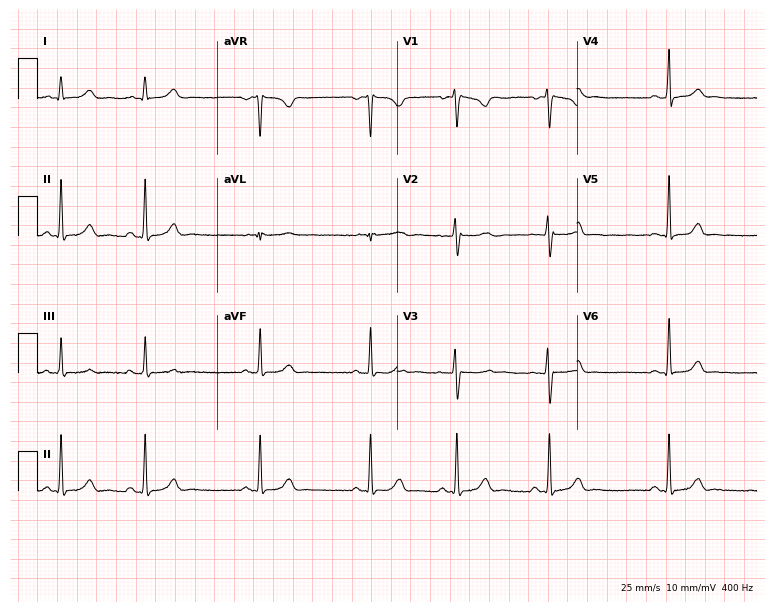
12-lead ECG from a 19-year-old woman. Labelled as a normal ECG.